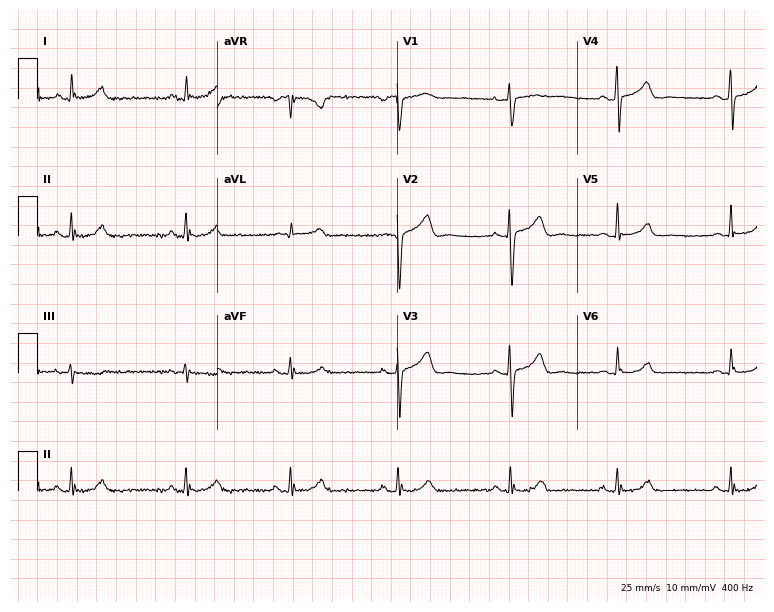
Resting 12-lead electrocardiogram (7.3-second recording at 400 Hz). Patient: a 44-year-old female. Read as a normal ECG.